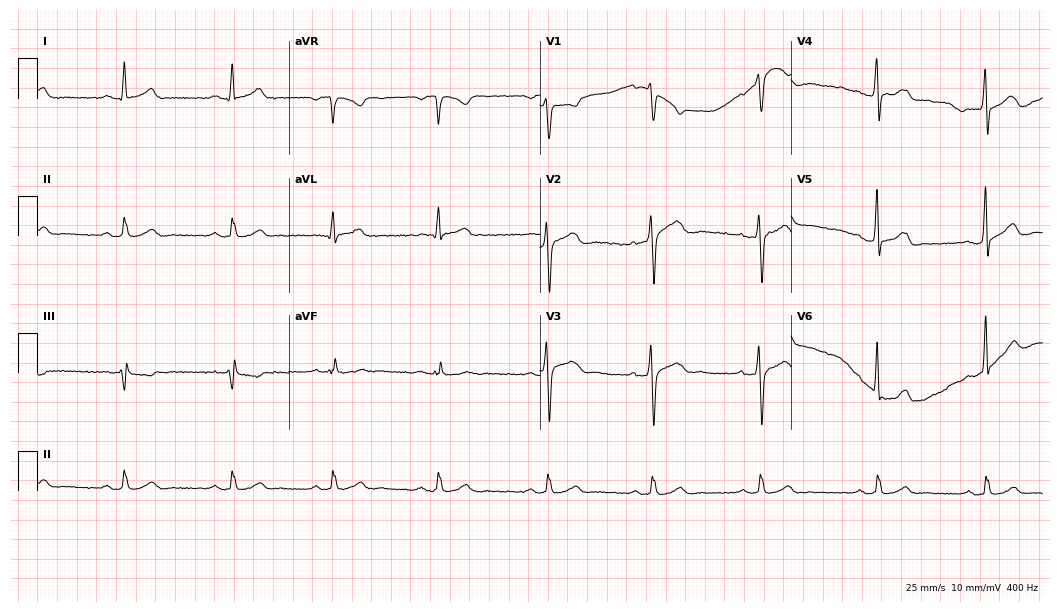
Standard 12-lead ECG recorded from a 43-year-old male (10.2-second recording at 400 Hz). None of these six findings is recorded: first-degree AV block, right bundle branch block, left bundle branch block, sinus bradycardia, atrial fibrillation, sinus tachycardia.